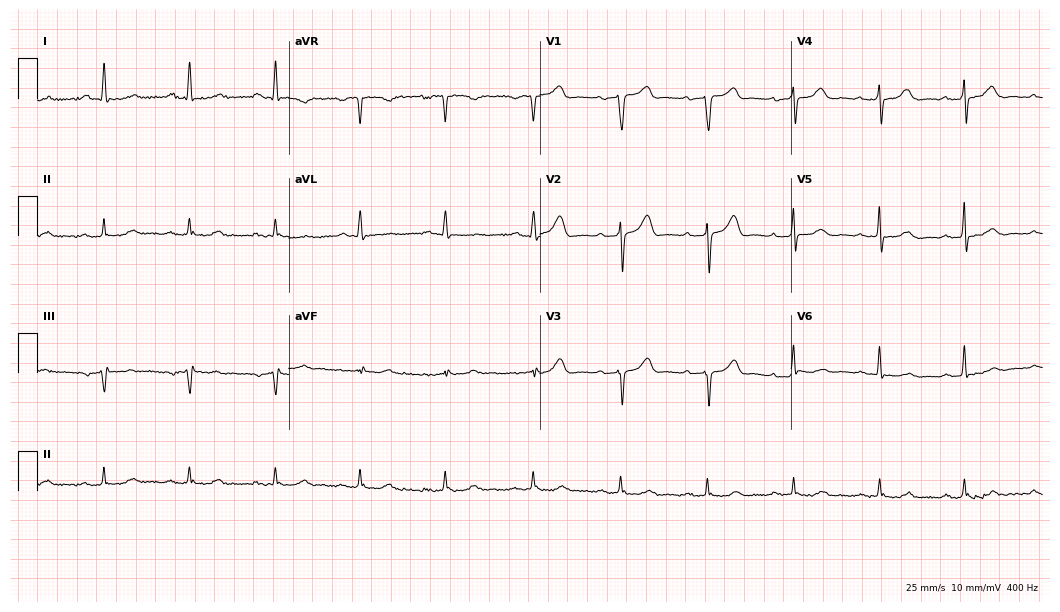
12-lead ECG from a woman, 84 years old. No first-degree AV block, right bundle branch block (RBBB), left bundle branch block (LBBB), sinus bradycardia, atrial fibrillation (AF) or sinus tachycardia recorded for this tracing. Other findings, if any, are not listed.